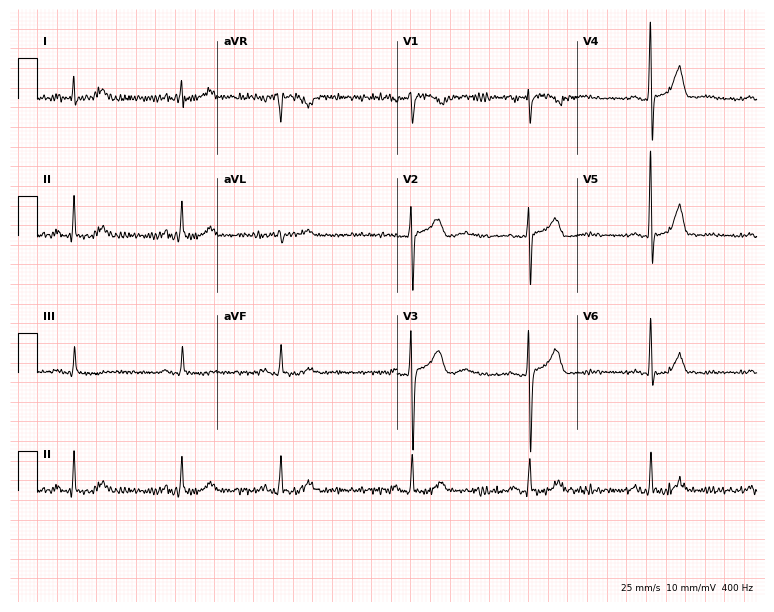
Standard 12-lead ECG recorded from a male, 67 years old. Read as a normal ECG.